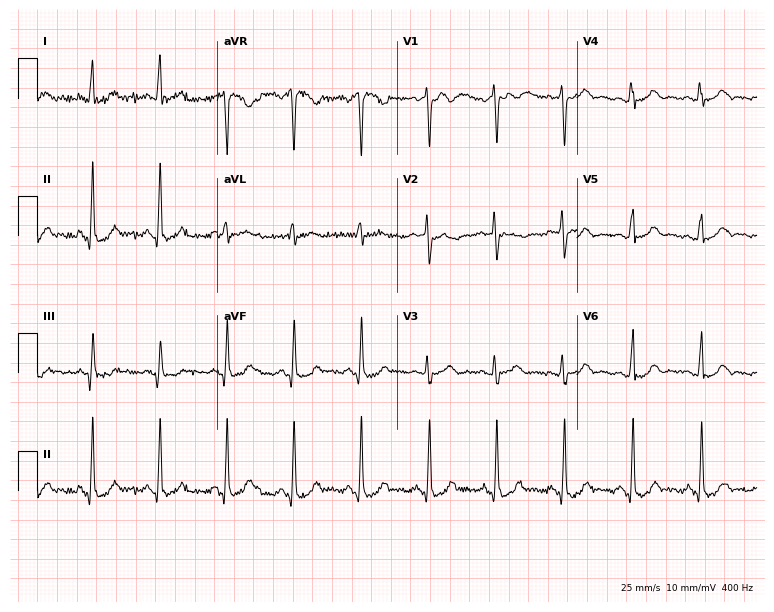
12-lead ECG (7.3-second recording at 400 Hz) from a 44-year-old female patient. Labelled as a normal ECG.